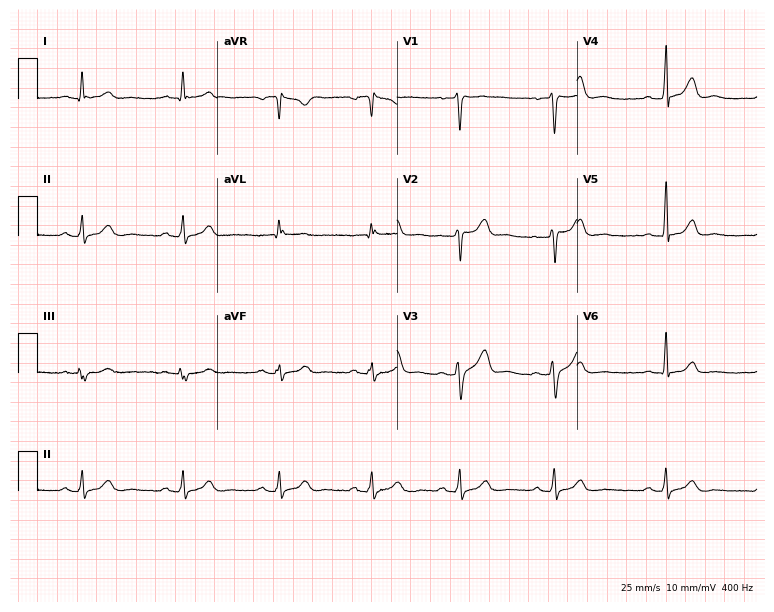
Electrocardiogram, a man, 42 years old. Overall reading on record: normal ECG.